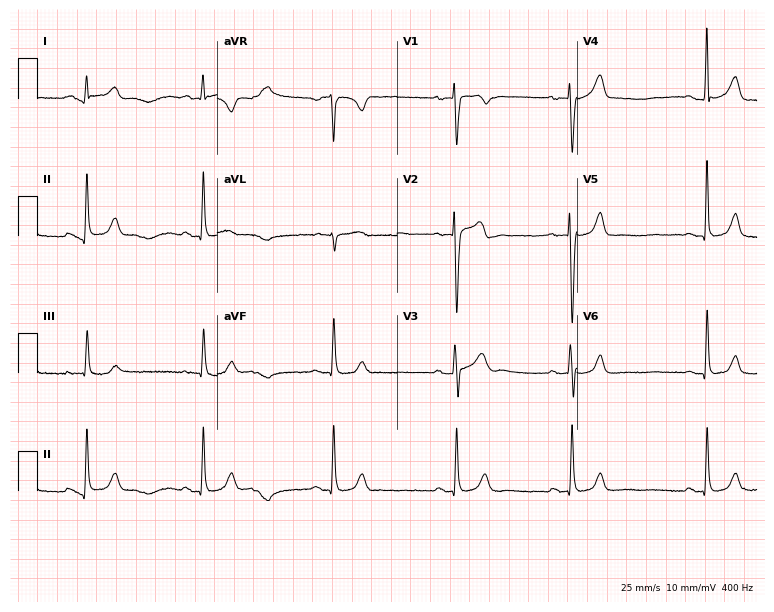
Standard 12-lead ECG recorded from a 21-year-old male (7.3-second recording at 400 Hz). Read as a normal ECG.